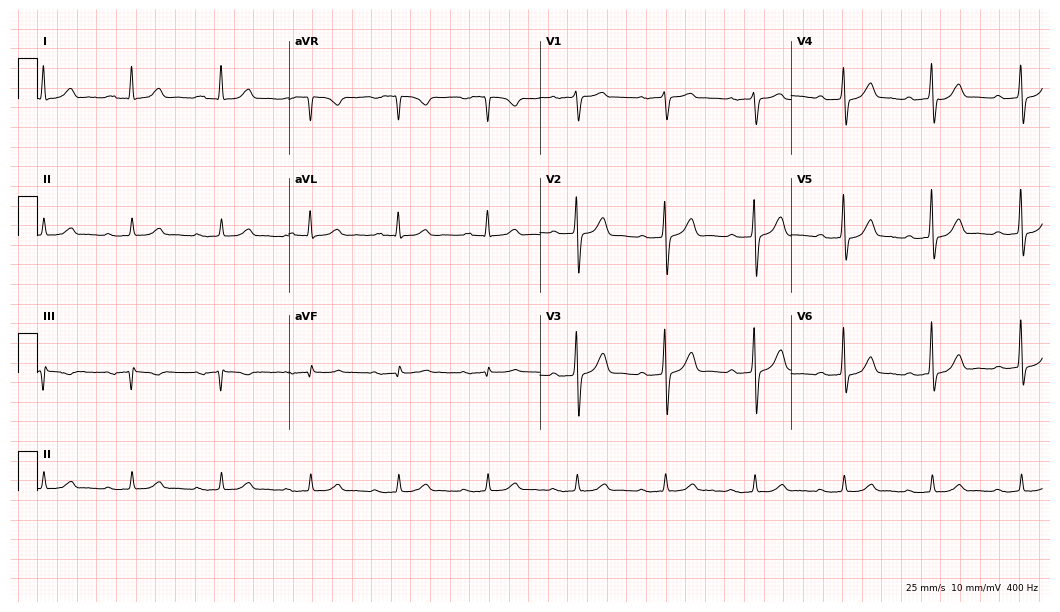
Electrocardiogram (10.2-second recording at 400 Hz), a male patient, 71 years old. Interpretation includes first-degree AV block.